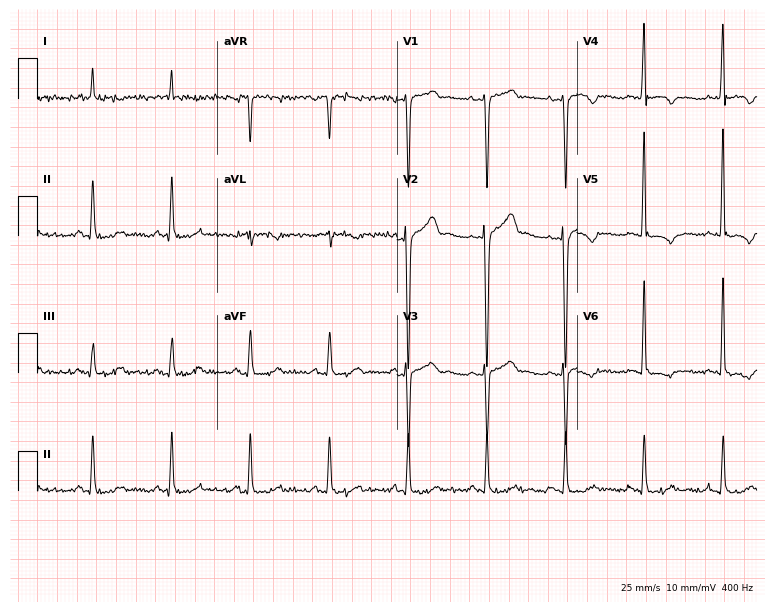
12-lead ECG from a 68-year-old male. Screened for six findings — first-degree AV block, right bundle branch block, left bundle branch block, sinus bradycardia, atrial fibrillation, sinus tachycardia — none is recorded.